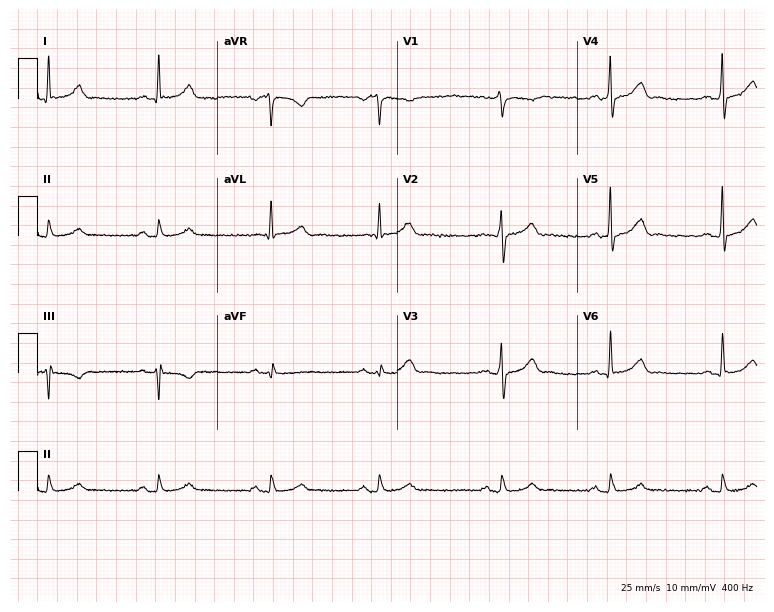
Electrocardiogram (7.3-second recording at 400 Hz), a 45-year-old female patient. Overall reading on record: normal ECG.